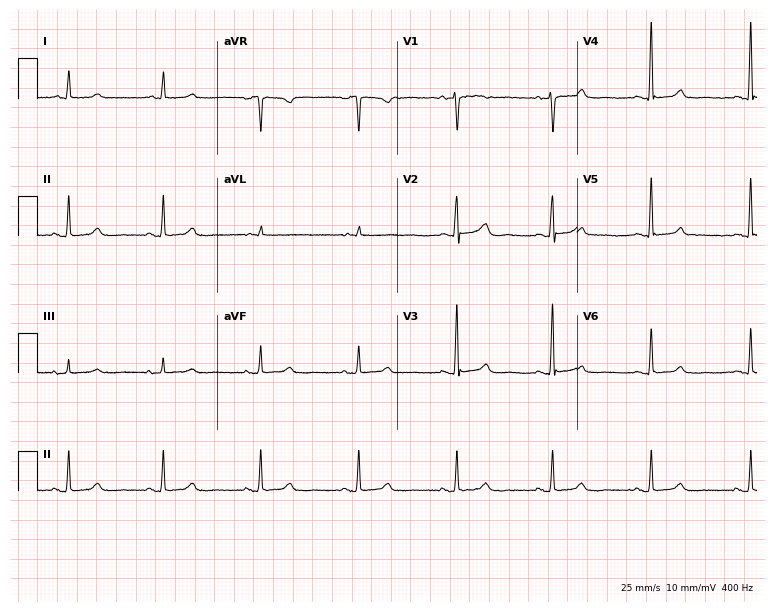
Resting 12-lead electrocardiogram (7.3-second recording at 400 Hz). Patient: a woman, 56 years old. Read as a normal ECG.